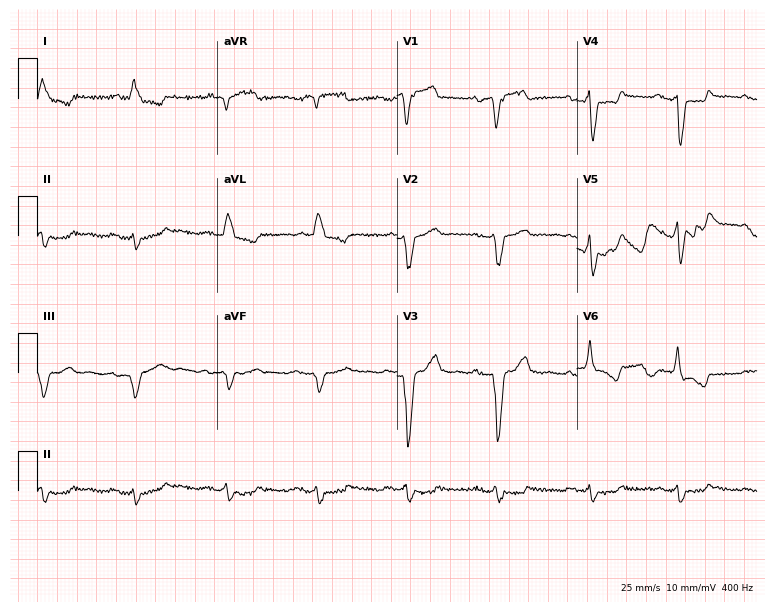
ECG (7.3-second recording at 400 Hz) — a 69-year-old man. Findings include left bundle branch block (LBBB).